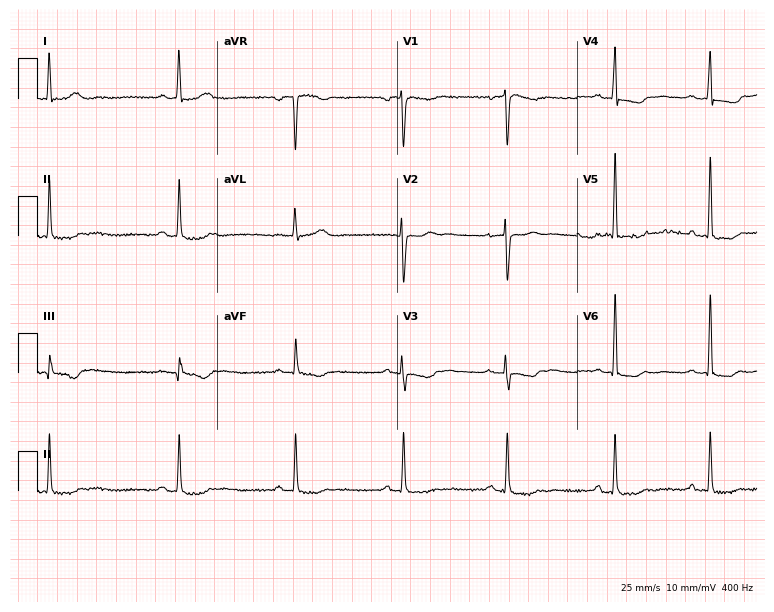
Standard 12-lead ECG recorded from a 46-year-old female patient. Read as a normal ECG.